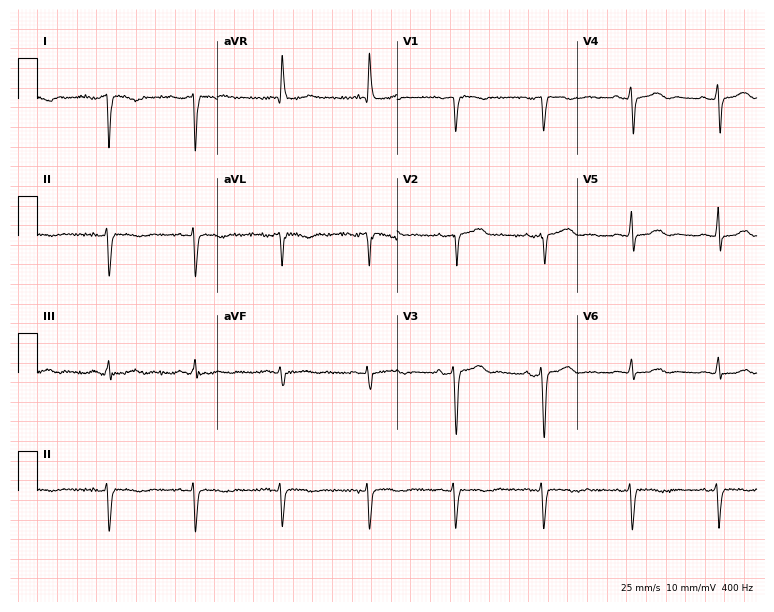
Electrocardiogram, a 67-year-old woman. Of the six screened findings (first-degree AV block, right bundle branch block (RBBB), left bundle branch block (LBBB), sinus bradycardia, atrial fibrillation (AF), sinus tachycardia), none is recorded.